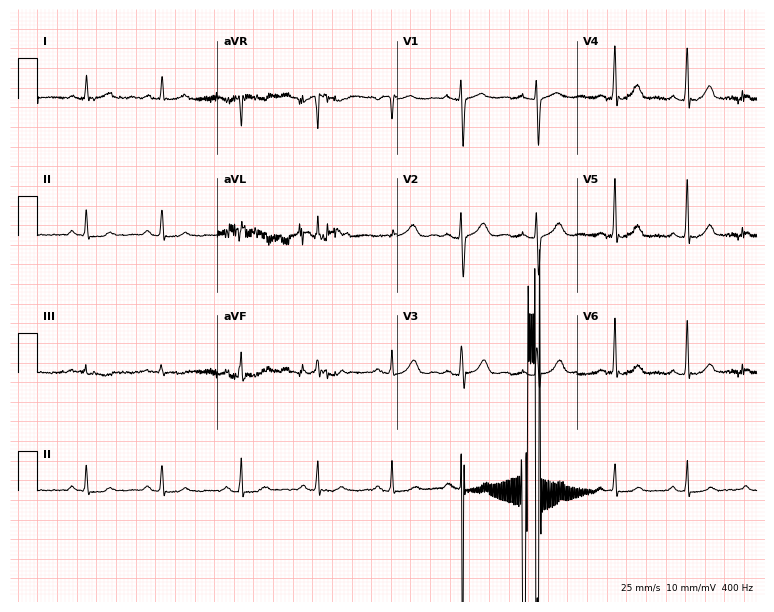
ECG (7.3-second recording at 400 Hz) — a woman, 21 years old. Labelled as a normal ECG.